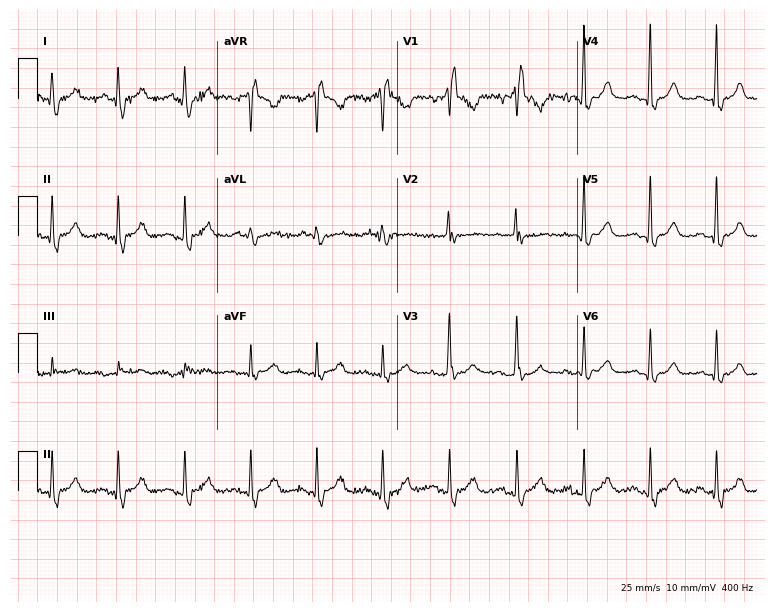
12-lead ECG (7.3-second recording at 400 Hz) from a 59-year-old woman. Screened for six findings — first-degree AV block, right bundle branch block (RBBB), left bundle branch block (LBBB), sinus bradycardia, atrial fibrillation (AF), sinus tachycardia — none is recorded. Other findings, if any, are not listed.